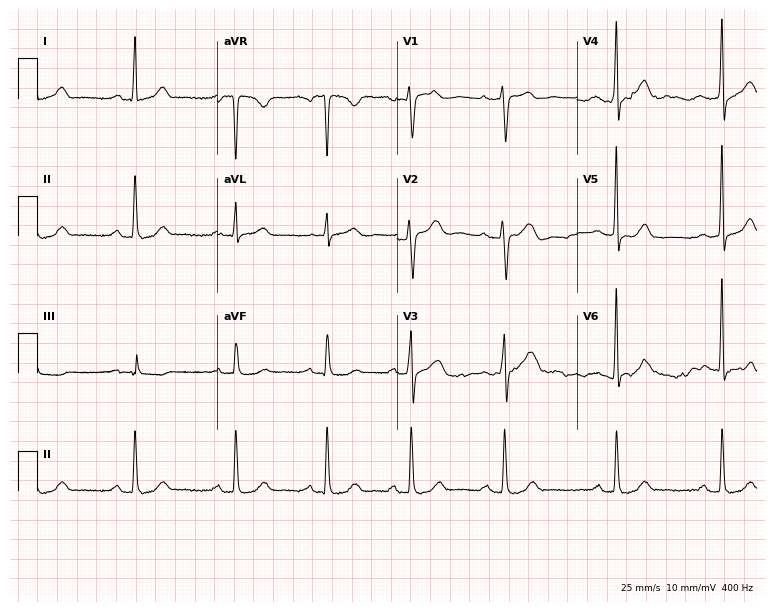
Electrocardiogram (7.3-second recording at 400 Hz), a female, 42 years old. Of the six screened findings (first-degree AV block, right bundle branch block (RBBB), left bundle branch block (LBBB), sinus bradycardia, atrial fibrillation (AF), sinus tachycardia), none is recorded.